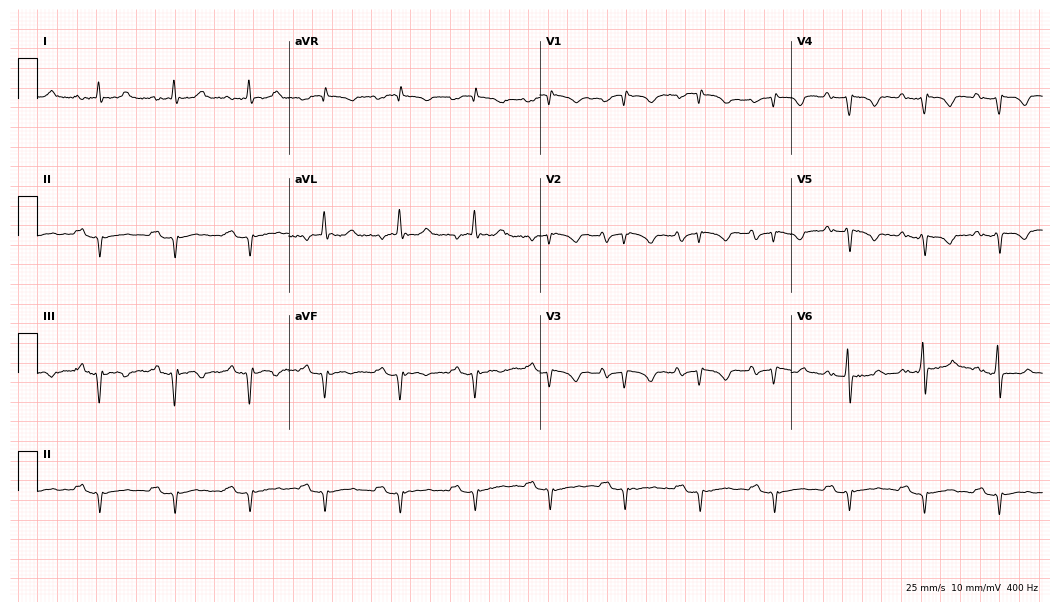
12-lead ECG from a man, 59 years old. Findings include first-degree AV block.